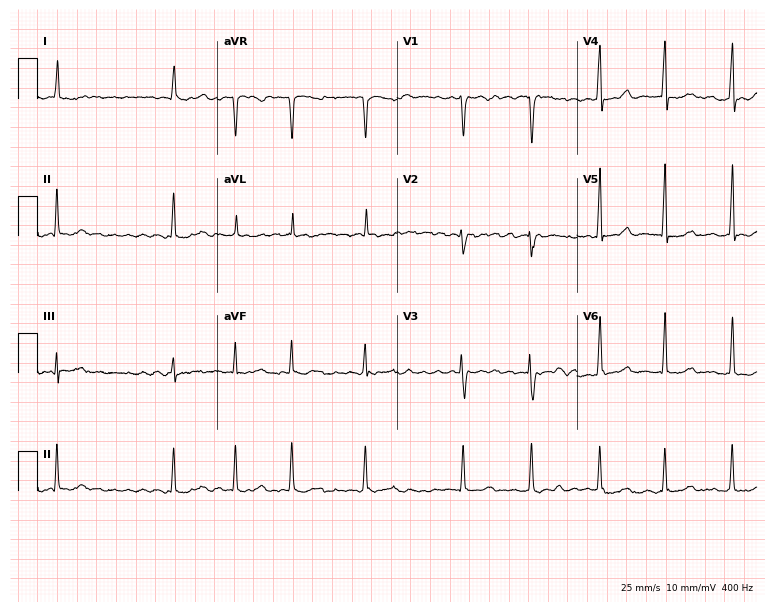
12-lead ECG (7.3-second recording at 400 Hz) from a 48-year-old female. Findings include atrial fibrillation (AF).